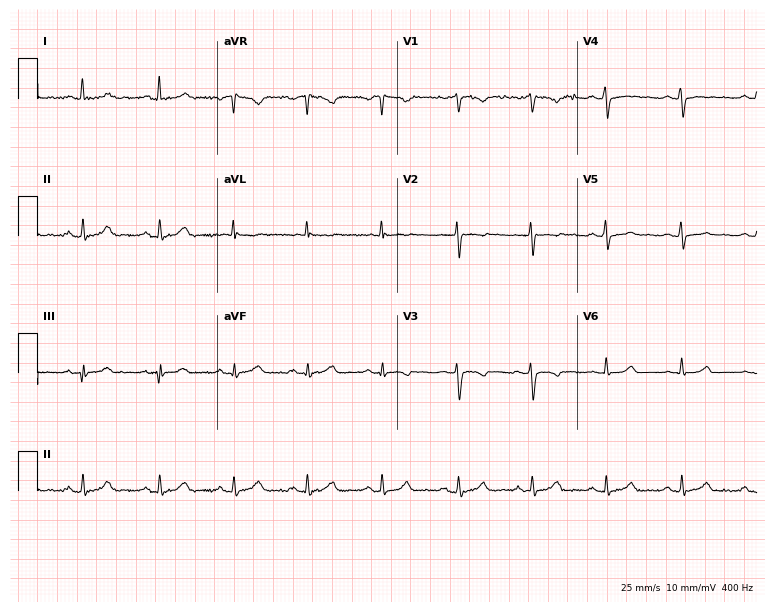
12-lead ECG from a female patient, 30 years old (7.3-second recording at 400 Hz). No first-degree AV block, right bundle branch block (RBBB), left bundle branch block (LBBB), sinus bradycardia, atrial fibrillation (AF) or sinus tachycardia recorded for this tracing.